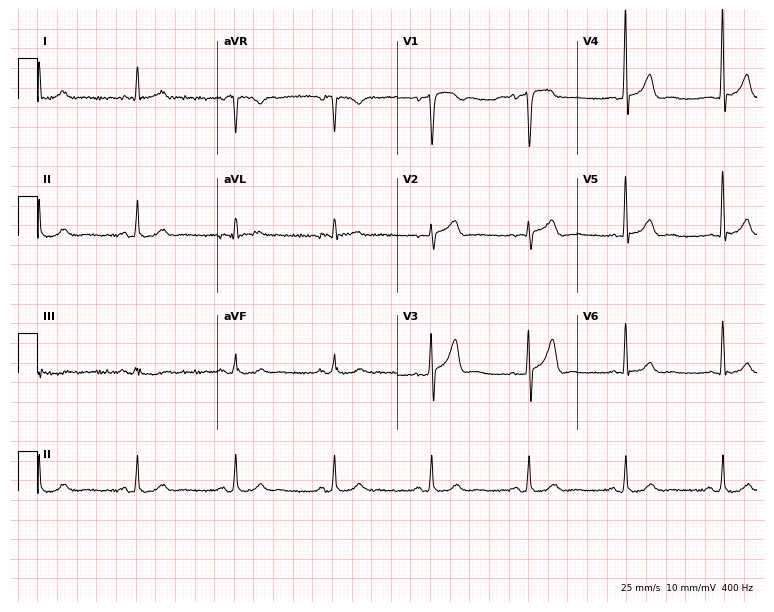
12-lead ECG from a man, 72 years old. Recorded interpretation: within normal limits.